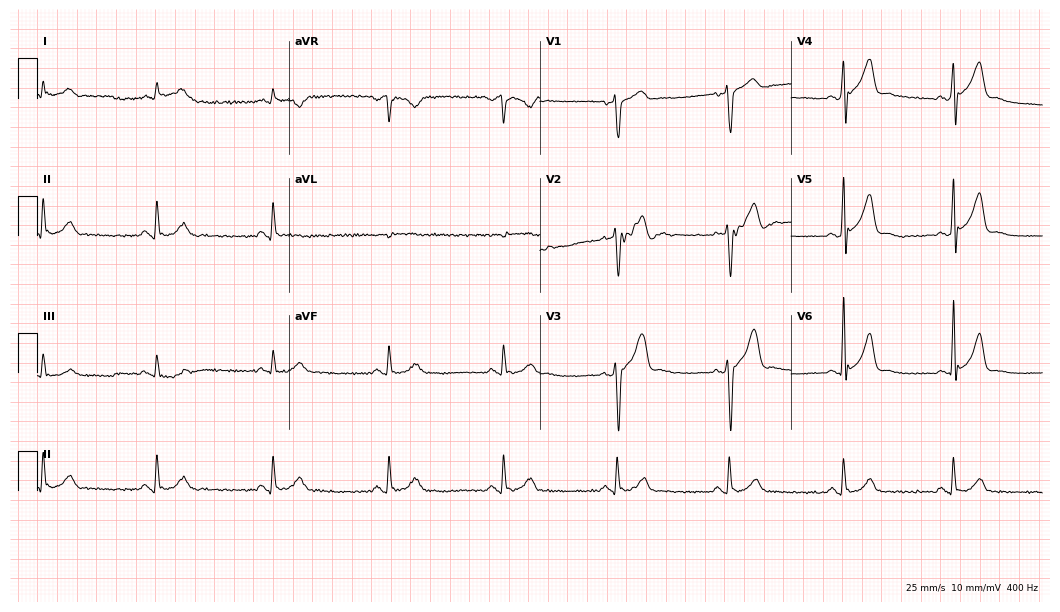
ECG — a 62-year-old male. Screened for six findings — first-degree AV block, right bundle branch block (RBBB), left bundle branch block (LBBB), sinus bradycardia, atrial fibrillation (AF), sinus tachycardia — none is recorded. Other findings, if any, are not listed.